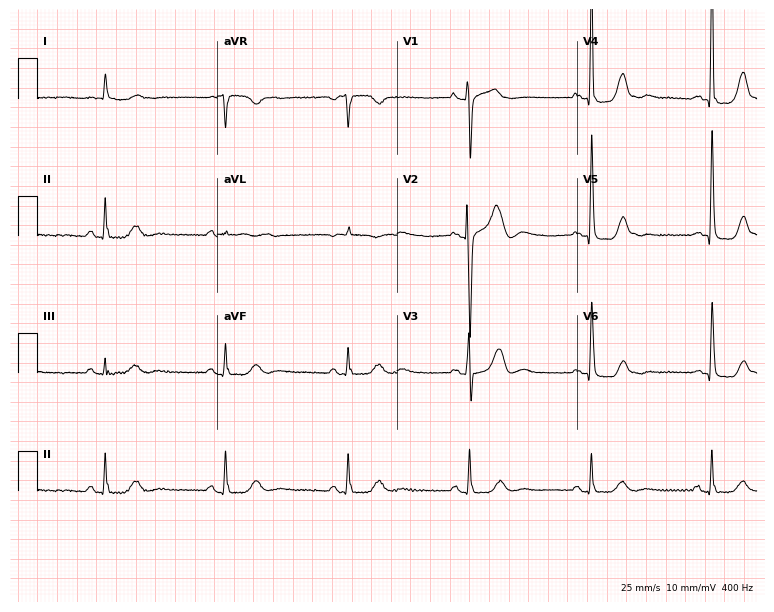
Electrocardiogram (7.3-second recording at 400 Hz), a woman, 75 years old. Interpretation includes sinus bradycardia (a sinus rate of 50 beats per minute or less).